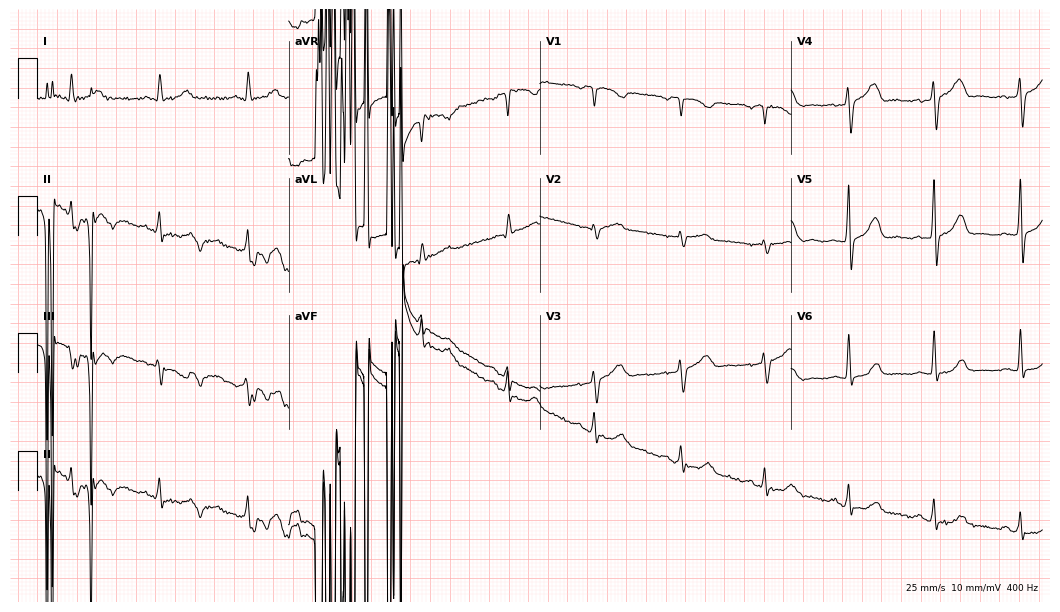
Standard 12-lead ECG recorded from a 61-year-old male. None of these six findings is recorded: first-degree AV block, right bundle branch block (RBBB), left bundle branch block (LBBB), sinus bradycardia, atrial fibrillation (AF), sinus tachycardia. Only these six findings were labelled.